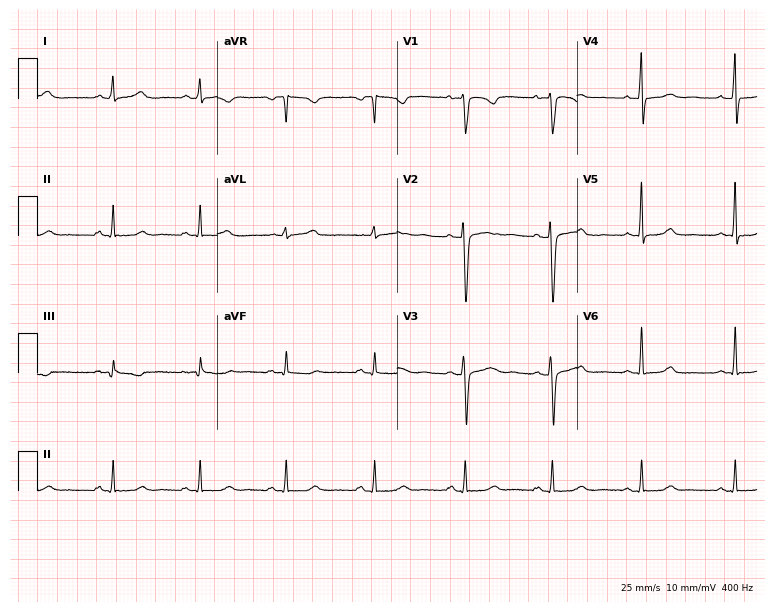
Electrocardiogram, a female patient, 36 years old. Of the six screened findings (first-degree AV block, right bundle branch block (RBBB), left bundle branch block (LBBB), sinus bradycardia, atrial fibrillation (AF), sinus tachycardia), none is recorded.